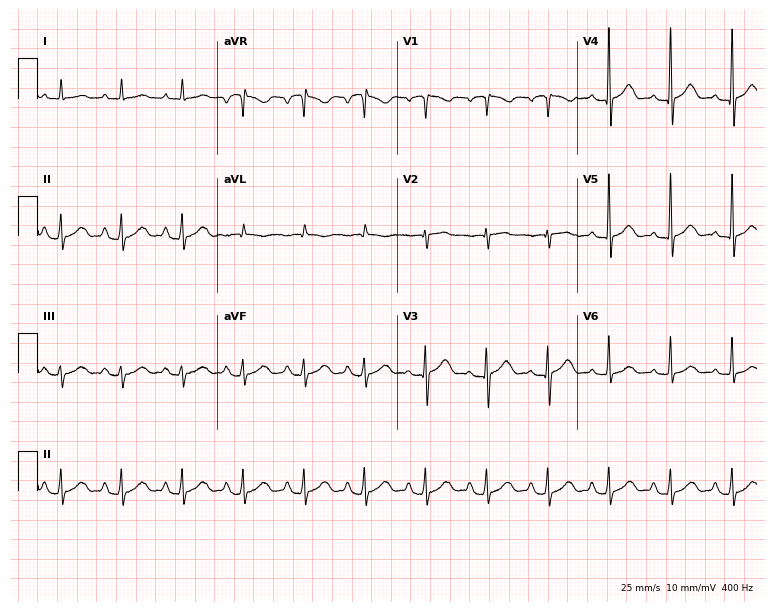
12-lead ECG (7.3-second recording at 400 Hz) from an 81-year-old man. Screened for six findings — first-degree AV block, right bundle branch block, left bundle branch block, sinus bradycardia, atrial fibrillation, sinus tachycardia — none is recorded. Other findings, if any, are not listed.